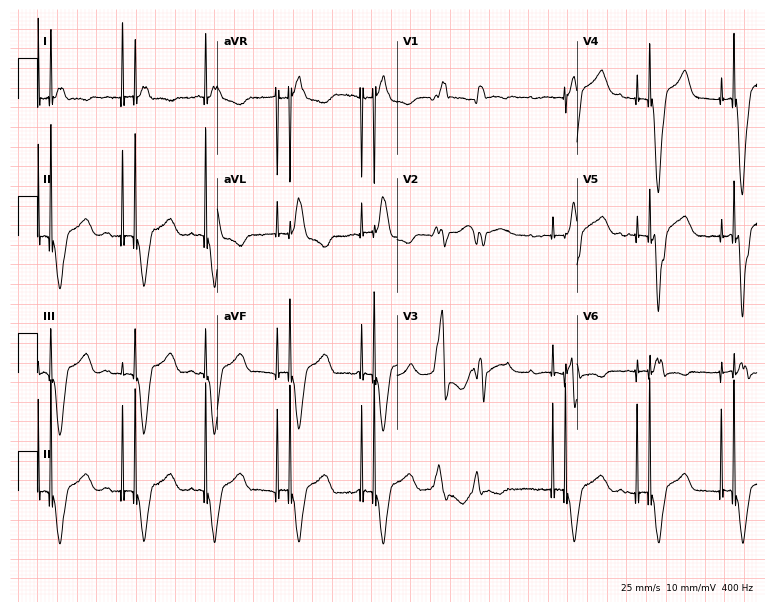
Standard 12-lead ECG recorded from a male patient, 83 years old (7.3-second recording at 400 Hz). None of these six findings is recorded: first-degree AV block, right bundle branch block, left bundle branch block, sinus bradycardia, atrial fibrillation, sinus tachycardia. Other findings, if any, are not listed.